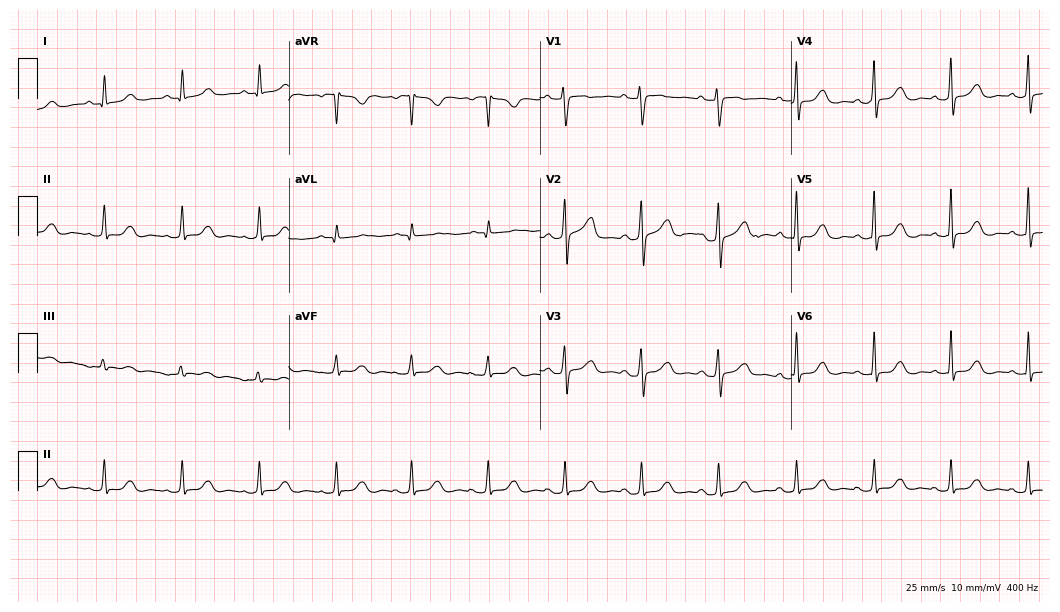
Electrocardiogram, a woman, 58 years old. Overall reading on record: normal ECG.